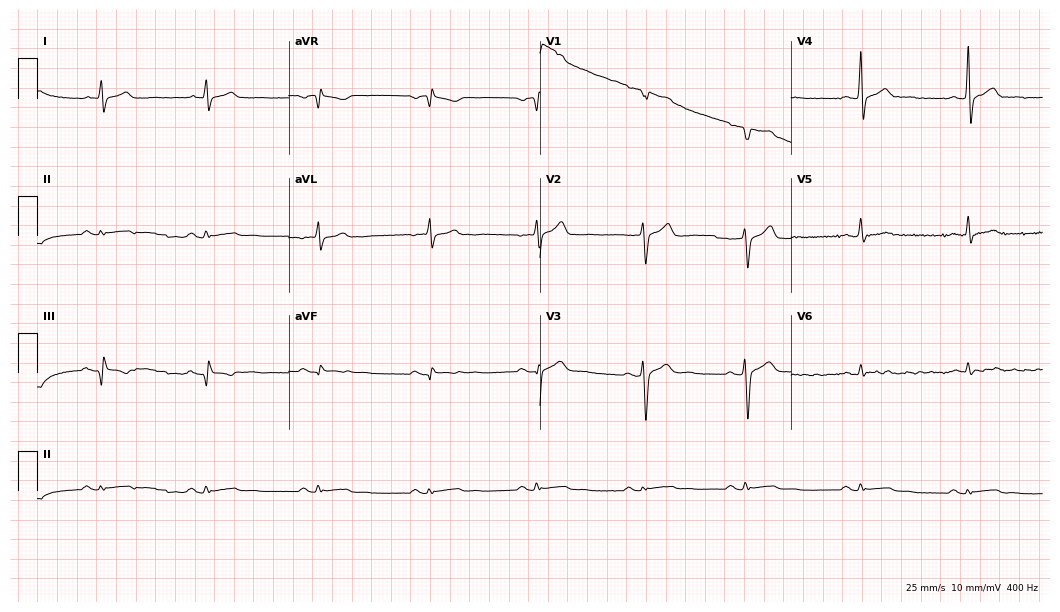
12-lead ECG from a 26-year-old male (10.2-second recording at 400 Hz). No first-degree AV block, right bundle branch block, left bundle branch block, sinus bradycardia, atrial fibrillation or sinus tachycardia recorded for this tracing. Only these six findings were labelled.